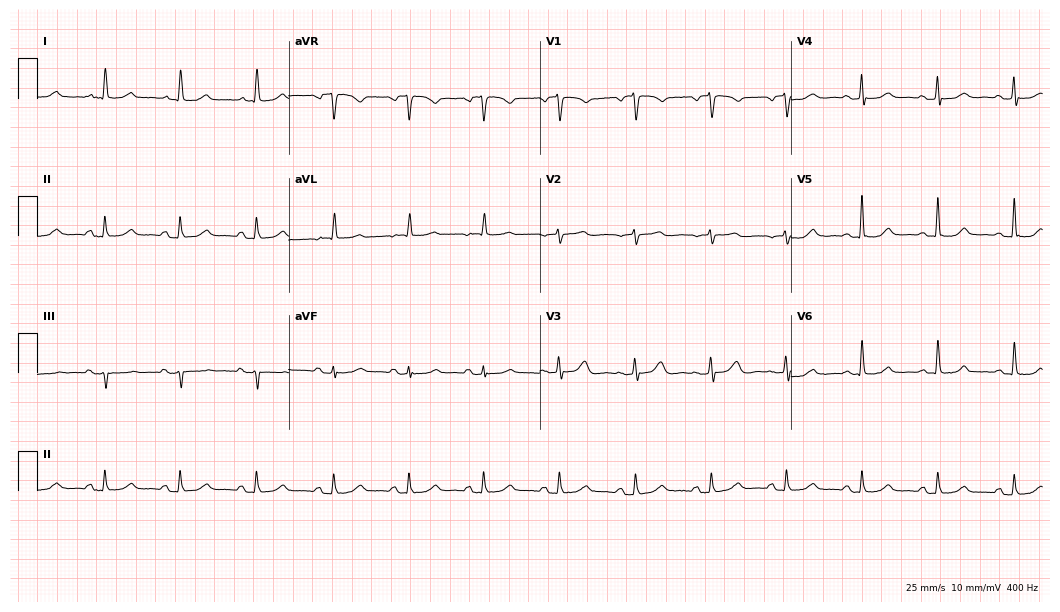
Electrocardiogram, a female patient, 68 years old. Of the six screened findings (first-degree AV block, right bundle branch block (RBBB), left bundle branch block (LBBB), sinus bradycardia, atrial fibrillation (AF), sinus tachycardia), none is recorded.